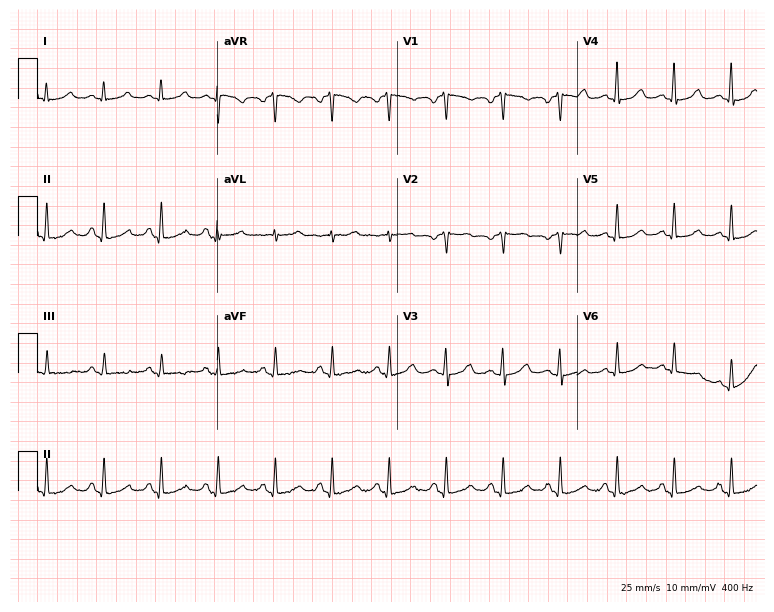
Standard 12-lead ECG recorded from a female, 57 years old. The tracing shows sinus tachycardia (a sinus rate of 100 beats per minute or more).